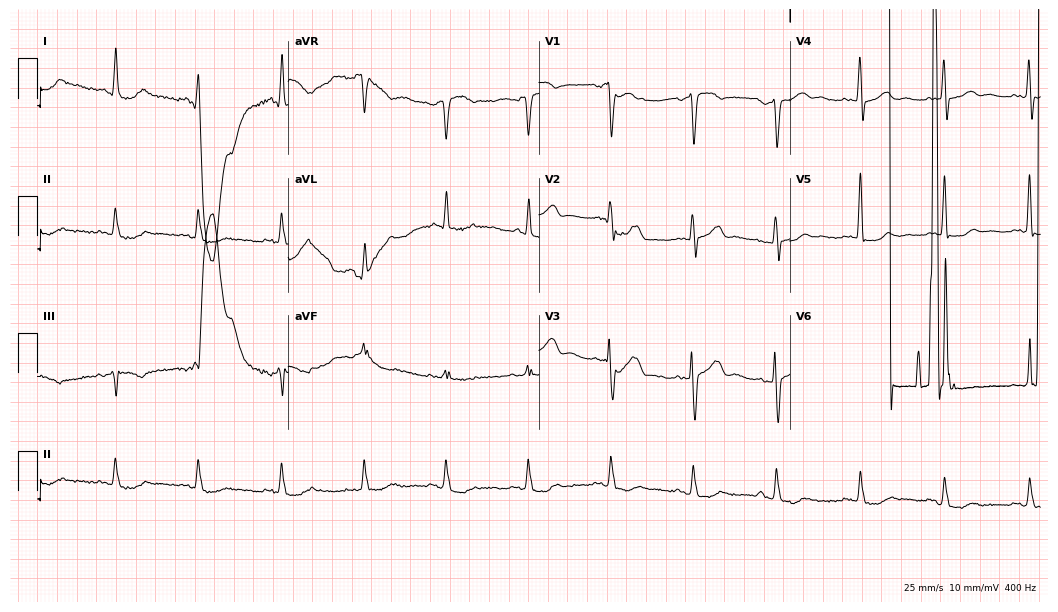
ECG (10.2-second recording at 400 Hz) — a man, 69 years old. Screened for six findings — first-degree AV block, right bundle branch block (RBBB), left bundle branch block (LBBB), sinus bradycardia, atrial fibrillation (AF), sinus tachycardia — none is recorded. Other findings, if any, are not listed.